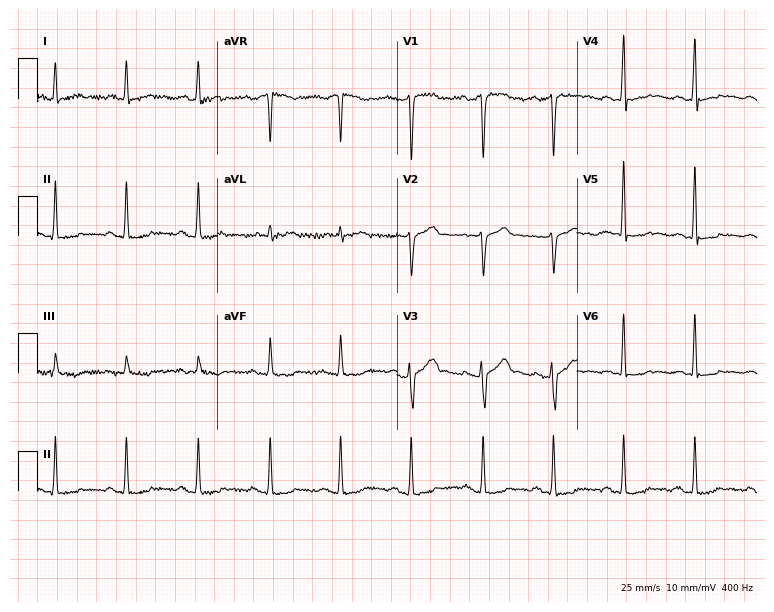
ECG — a 34-year-old man. Labelled as a normal ECG.